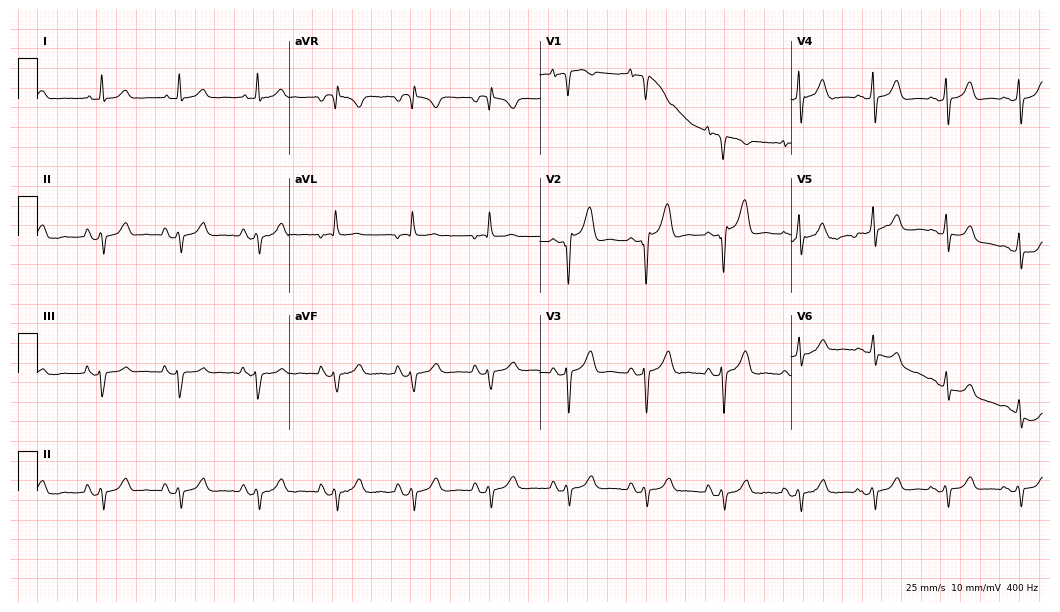
12-lead ECG from an 85-year-old male. Screened for six findings — first-degree AV block, right bundle branch block (RBBB), left bundle branch block (LBBB), sinus bradycardia, atrial fibrillation (AF), sinus tachycardia — none is recorded.